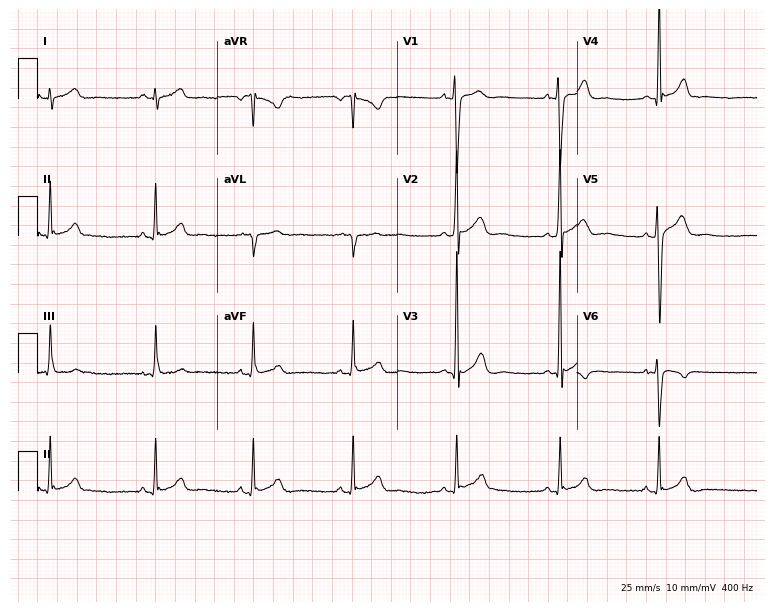
Resting 12-lead electrocardiogram. Patient: a 17-year-old male. None of these six findings is recorded: first-degree AV block, right bundle branch block, left bundle branch block, sinus bradycardia, atrial fibrillation, sinus tachycardia. Findings outside these six are not listed.